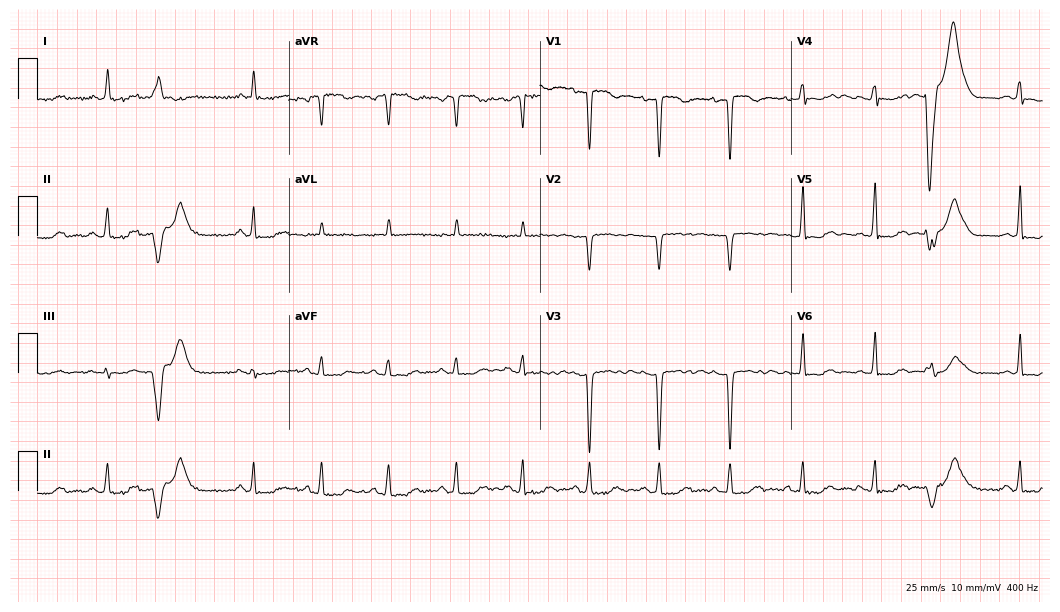
Standard 12-lead ECG recorded from a 48-year-old female patient. None of these six findings is recorded: first-degree AV block, right bundle branch block, left bundle branch block, sinus bradycardia, atrial fibrillation, sinus tachycardia.